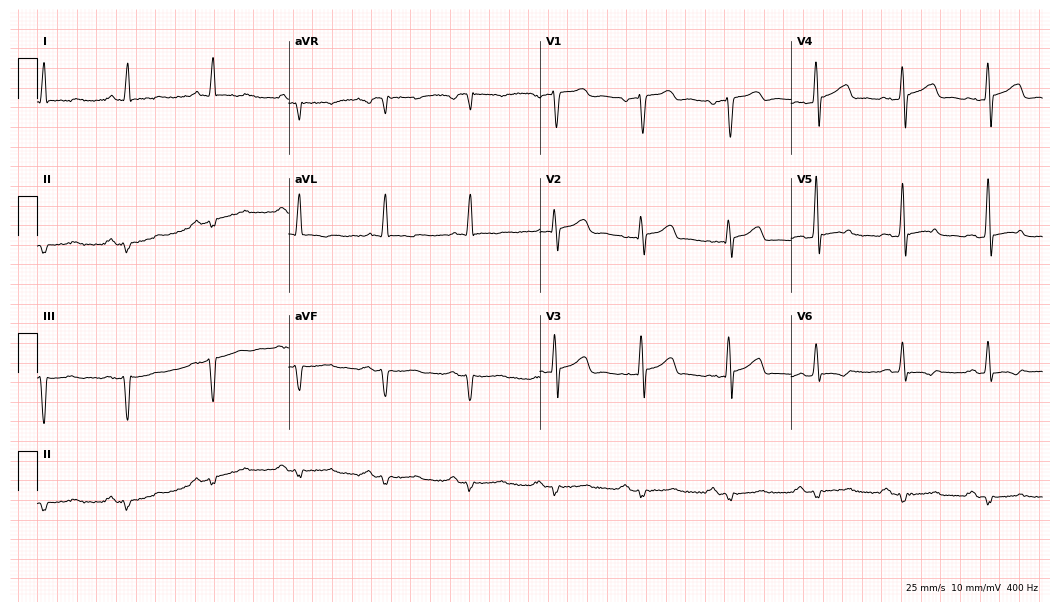
12-lead ECG from a man, 52 years old (10.2-second recording at 400 Hz). No first-degree AV block, right bundle branch block, left bundle branch block, sinus bradycardia, atrial fibrillation or sinus tachycardia recorded for this tracing.